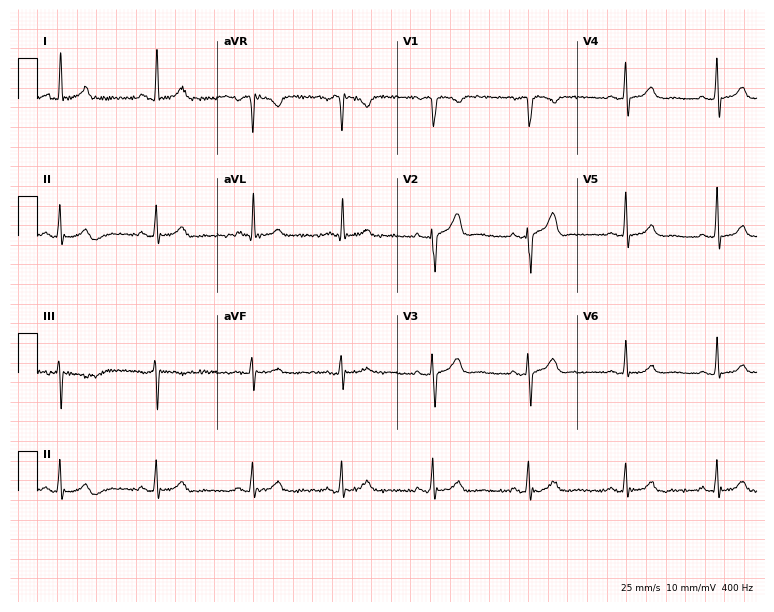
ECG — a female patient, 48 years old. Screened for six findings — first-degree AV block, right bundle branch block (RBBB), left bundle branch block (LBBB), sinus bradycardia, atrial fibrillation (AF), sinus tachycardia — none is recorded.